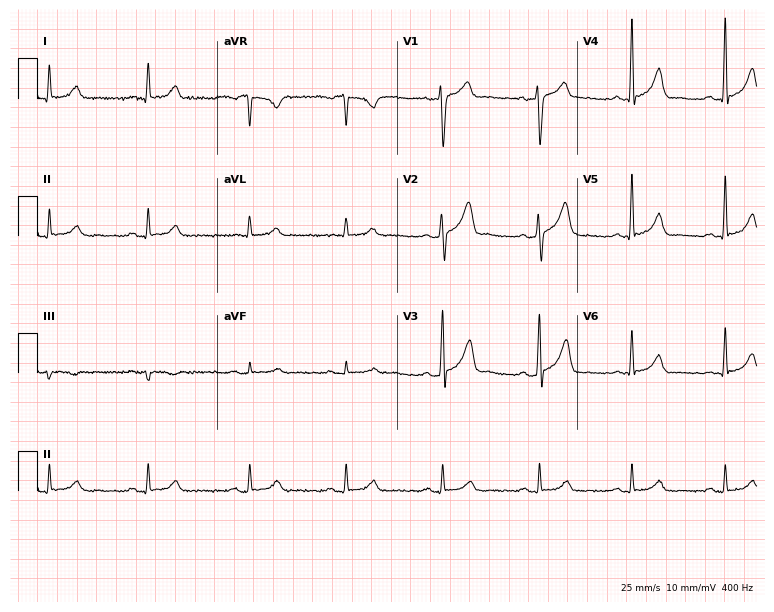
12-lead ECG (7.3-second recording at 400 Hz) from a 60-year-old male patient. Labelled as a normal ECG.